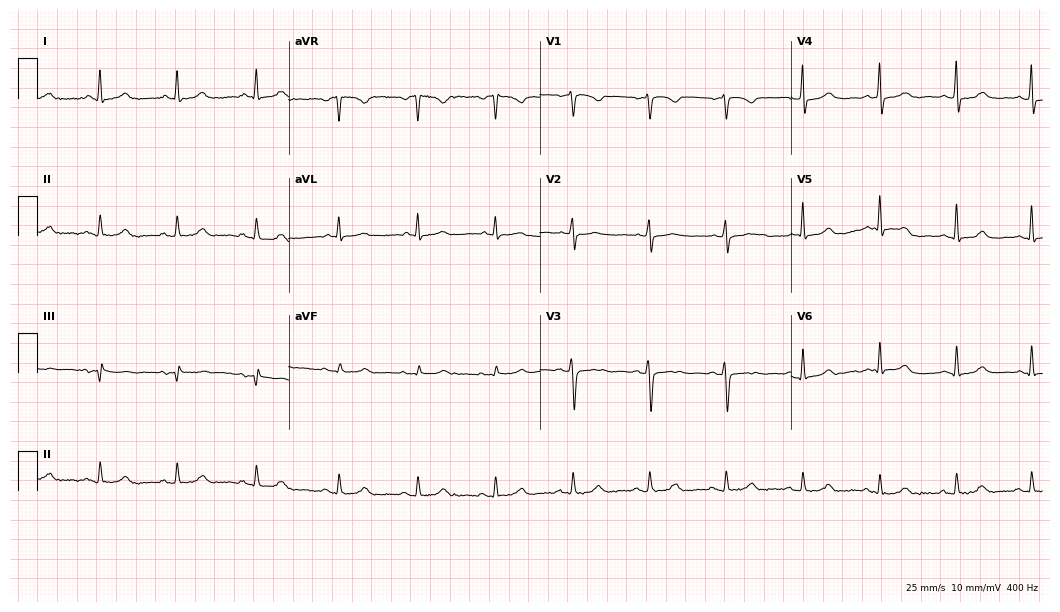
12-lead ECG from a woman, 44 years old. Screened for six findings — first-degree AV block, right bundle branch block (RBBB), left bundle branch block (LBBB), sinus bradycardia, atrial fibrillation (AF), sinus tachycardia — none is recorded. Only these six findings were labelled.